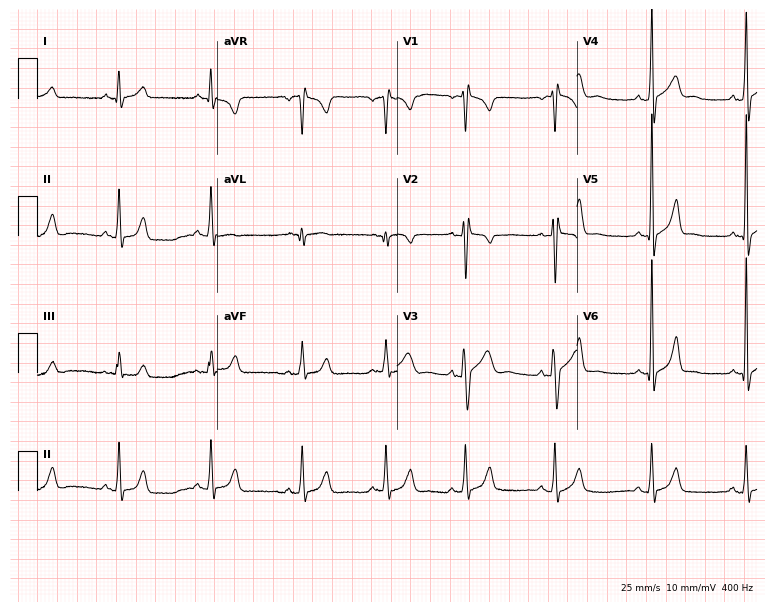
ECG — a male patient, 17 years old. Screened for six findings — first-degree AV block, right bundle branch block, left bundle branch block, sinus bradycardia, atrial fibrillation, sinus tachycardia — none is recorded.